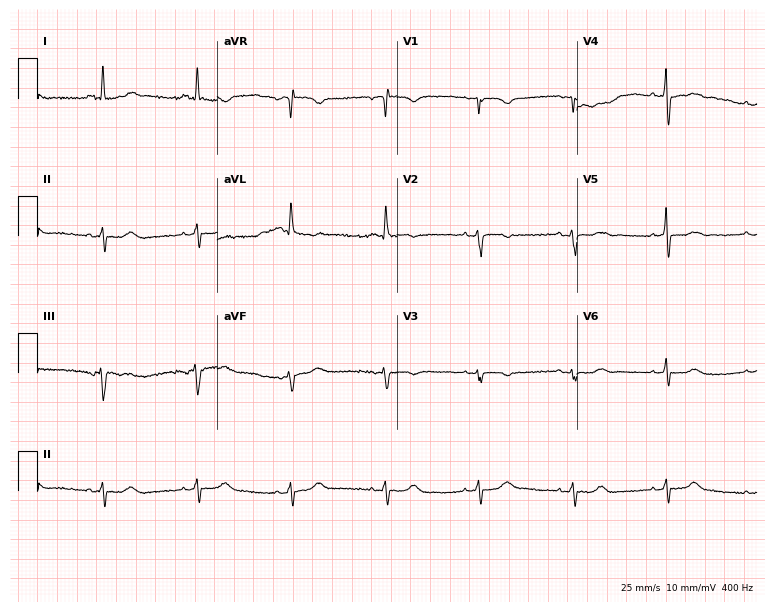
Resting 12-lead electrocardiogram. Patient: a 78-year-old female. None of these six findings is recorded: first-degree AV block, right bundle branch block, left bundle branch block, sinus bradycardia, atrial fibrillation, sinus tachycardia.